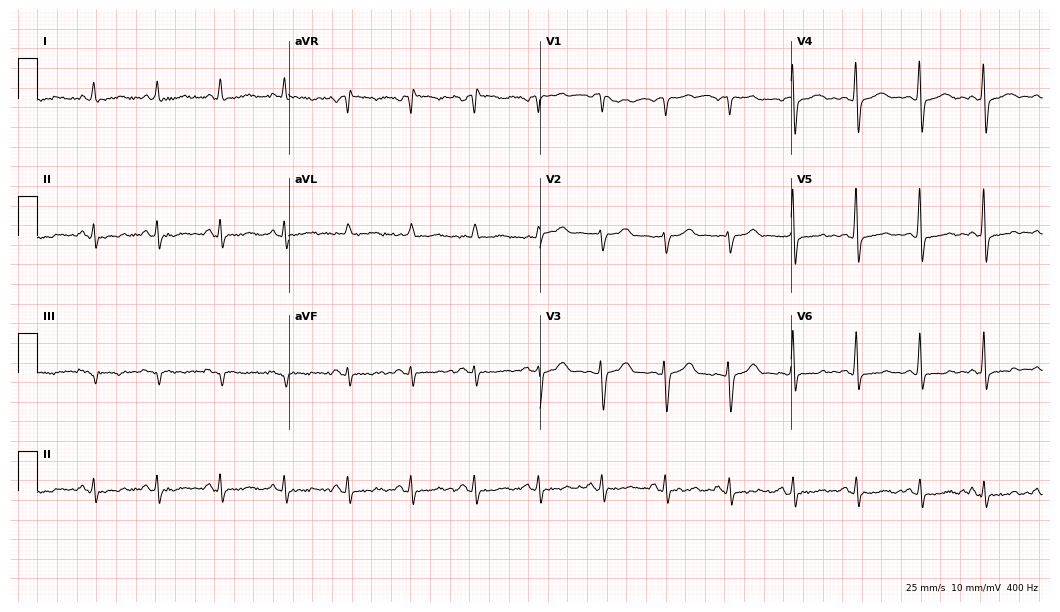
Standard 12-lead ECG recorded from a female patient, 71 years old (10.2-second recording at 400 Hz). None of these six findings is recorded: first-degree AV block, right bundle branch block, left bundle branch block, sinus bradycardia, atrial fibrillation, sinus tachycardia. Only these six findings were labelled.